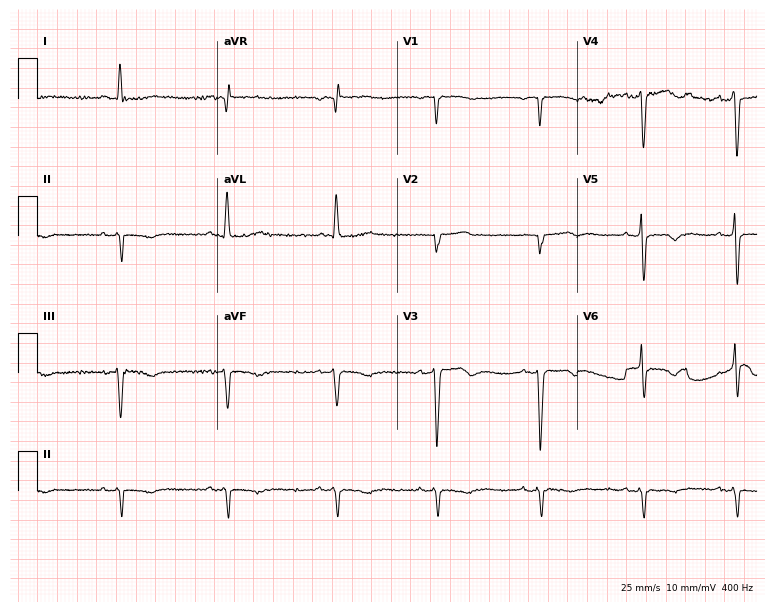
12-lead ECG from a 79-year-old female. Screened for six findings — first-degree AV block, right bundle branch block, left bundle branch block, sinus bradycardia, atrial fibrillation, sinus tachycardia — none is recorded. Only these six findings were labelled.